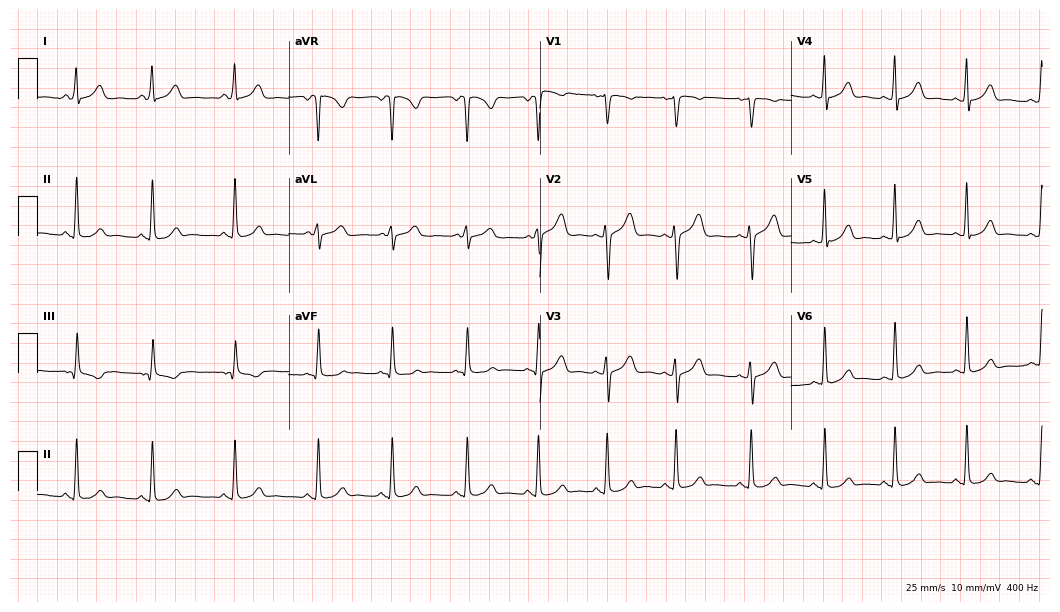
Electrocardiogram, a 22-year-old woman. Overall reading on record: normal ECG.